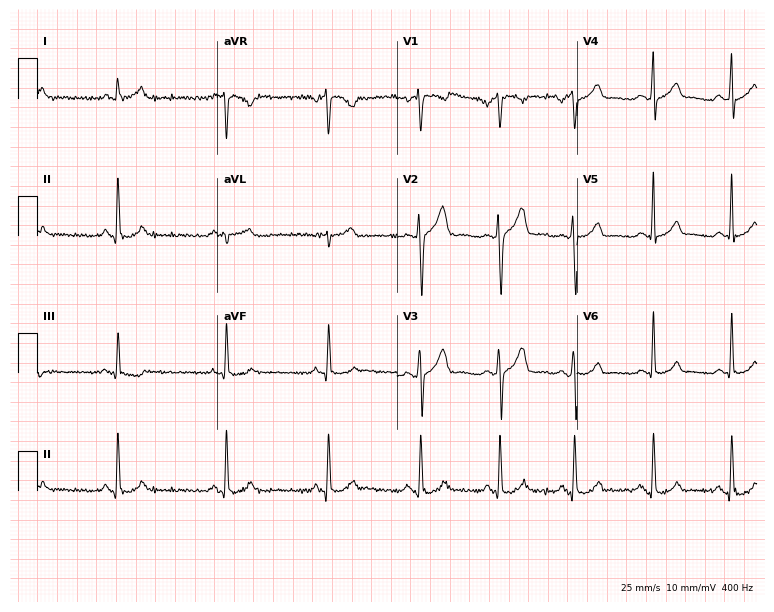
12-lead ECG (7.3-second recording at 400 Hz) from a 24-year-old male. Labelled as a normal ECG.